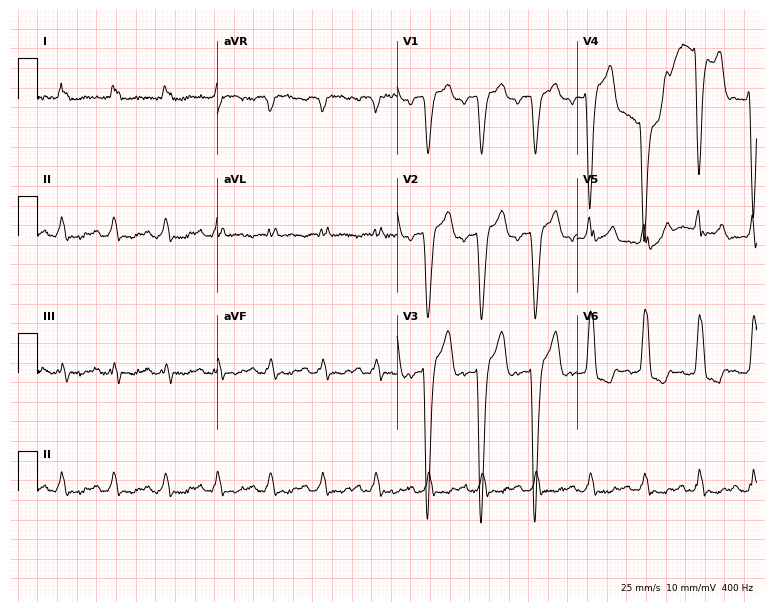
Standard 12-lead ECG recorded from a woman, 50 years old (7.3-second recording at 400 Hz). The tracing shows left bundle branch block, sinus tachycardia (a sinus rate of 100 beats per minute or more).